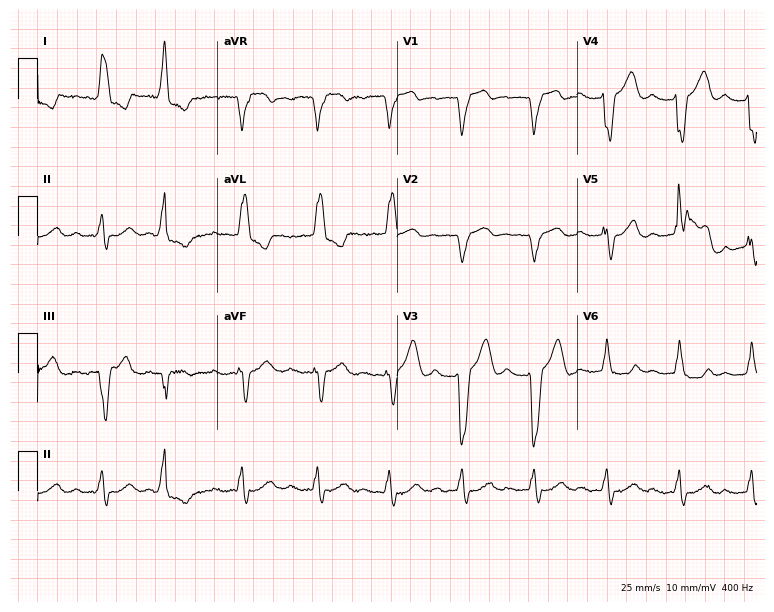
Standard 12-lead ECG recorded from a 77-year-old female patient. The tracing shows first-degree AV block, left bundle branch block (LBBB).